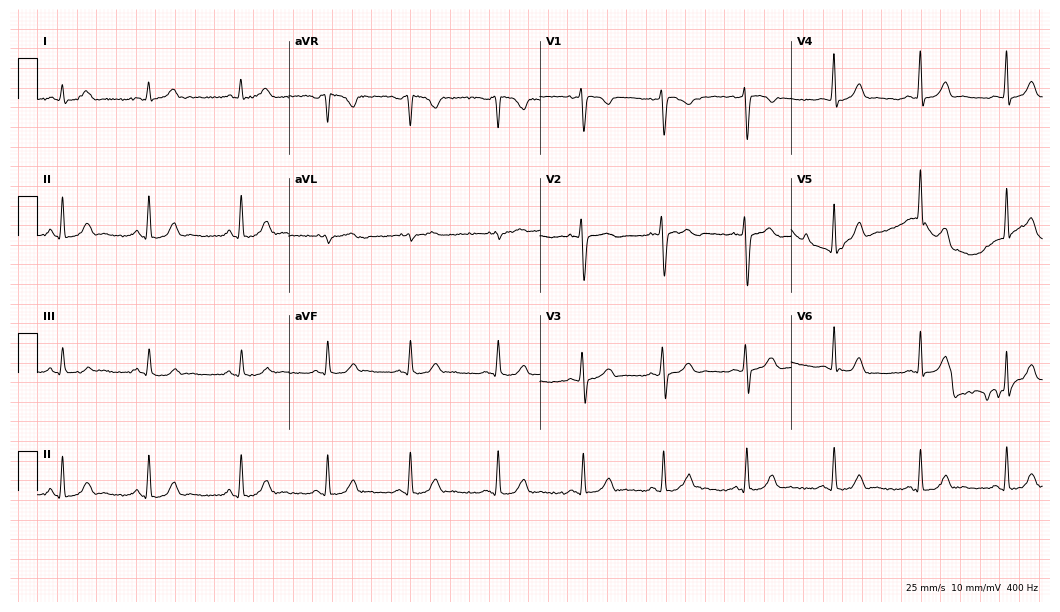
ECG — a woman, 27 years old. Labelled as a normal ECG.